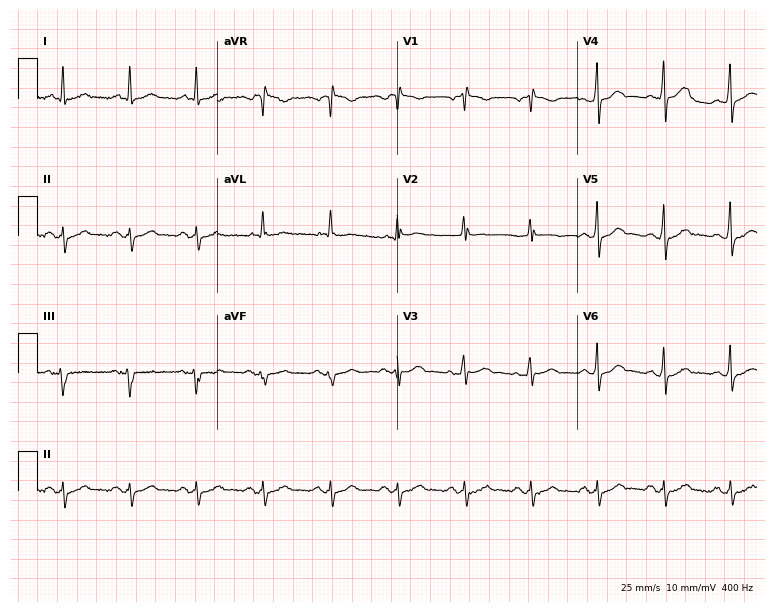
Electrocardiogram (7.3-second recording at 400 Hz), a male patient, 68 years old. Of the six screened findings (first-degree AV block, right bundle branch block, left bundle branch block, sinus bradycardia, atrial fibrillation, sinus tachycardia), none is recorded.